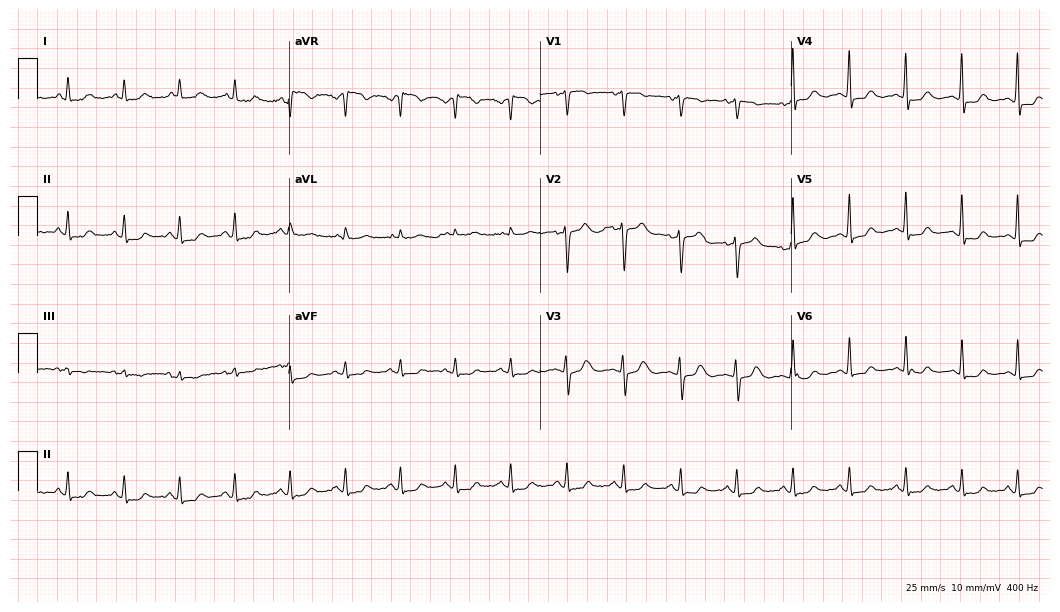
Electrocardiogram (10.2-second recording at 400 Hz), a 55-year-old female. Interpretation includes sinus tachycardia (a sinus rate of 100 beats per minute or more).